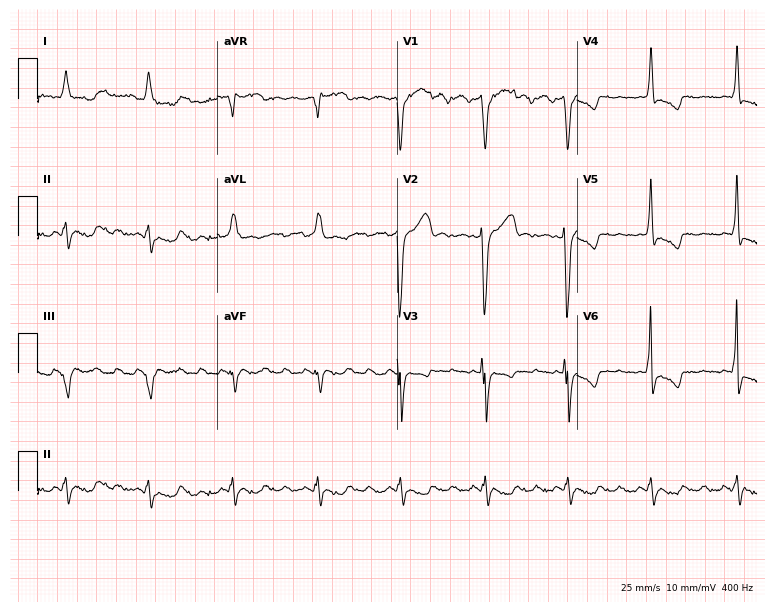
Electrocardiogram (7.3-second recording at 400 Hz), an 82-year-old female patient. Interpretation includes left bundle branch block (LBBB).